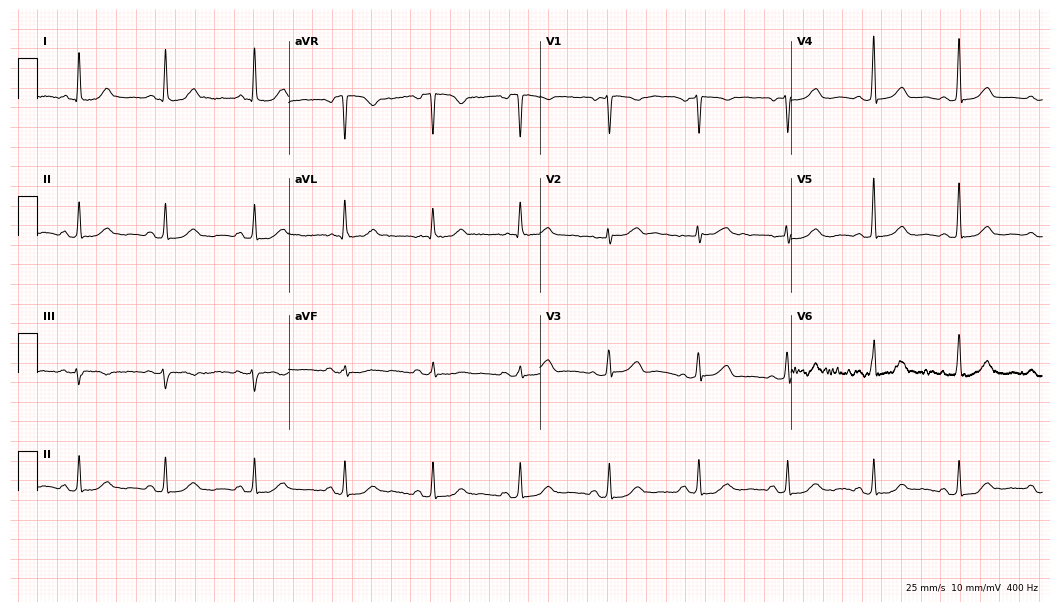
Resting 12-lead electrocardiogram. Patient: a 59-year-old woman. Read as a normal ECG.